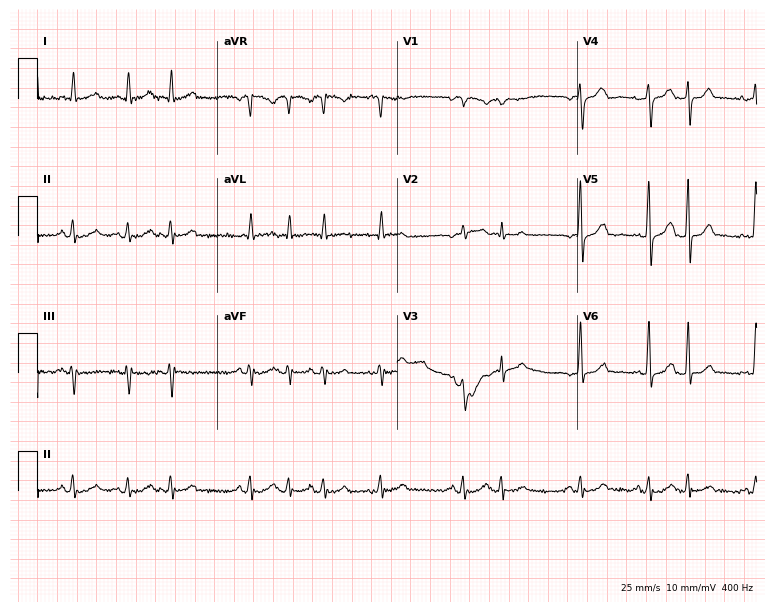
12-lead ECG from a female patient, 79 years old (7.3-second recording at 400 Hz). No first-degree AV block, right bundle branch block (RBBB), left bundle branch block (LBBB), sinus bradycardia, atrial fibrillation (AF) or sinus tachycardia recorded for this tracing.